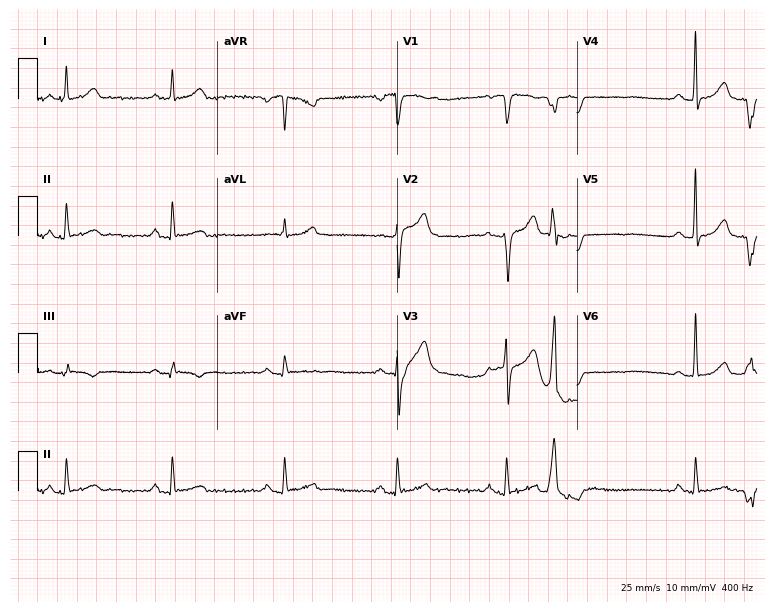
Standard 12-lead ECG recorded from a 57-year-old male patient. None of these six findings is recorded: first-degree AV block, right bundle branch block, left bundle branch block, sinus bradycardia, atrial fibrillation, sinus tachycardia. Other findings, if any, are not listed.